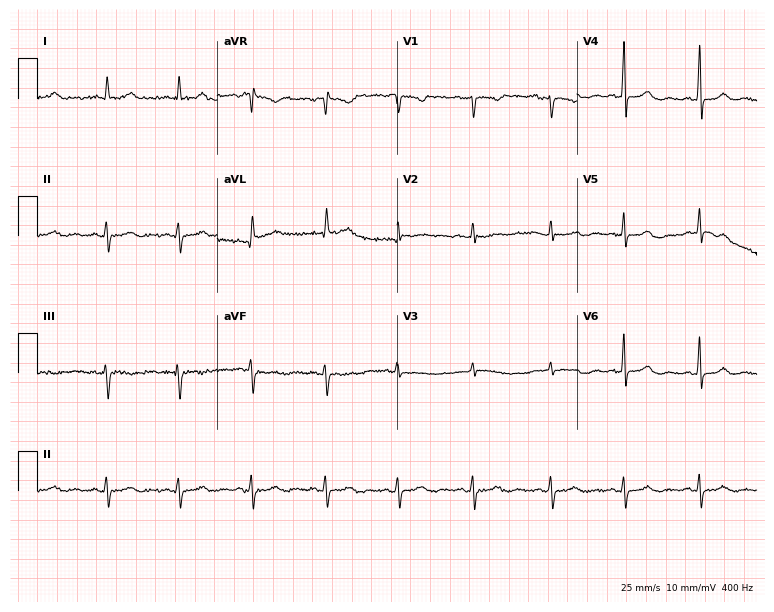
12-lead ECG from a 43-year-old woman. Screened for six findings — first-degree AV block, right bundle branch block, left bundle branch block, sinus bradycardia, atrial fibrillation, sinus tachycardia — none is recorded.